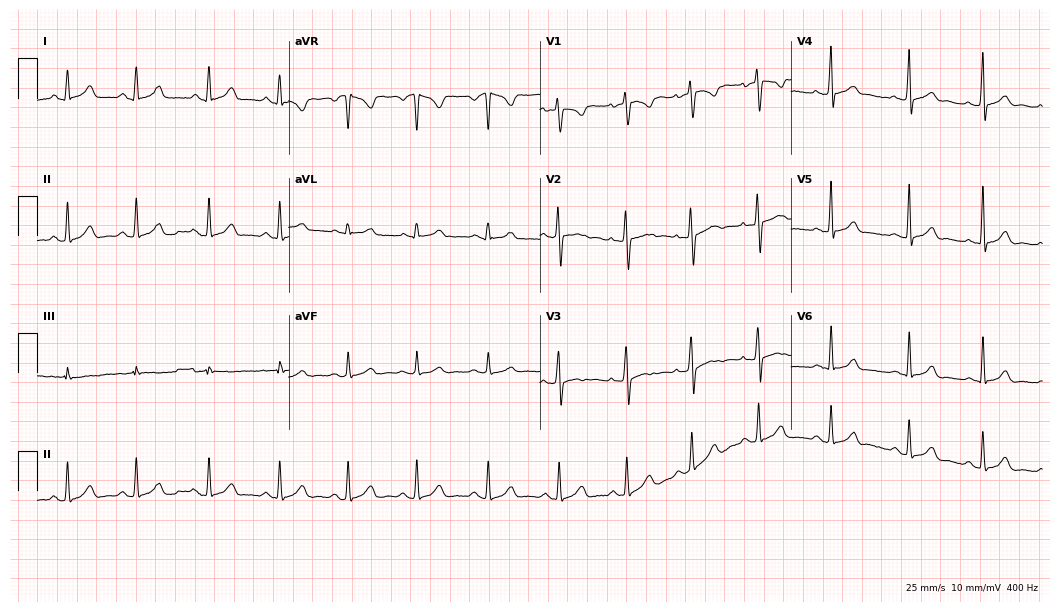
12-lead ECG (10.2-second recording at 400 Hz) from a woman, 27 years old. Screened for six findings — first-degree AV block, right bundle branch block, left bundle branch block, sinus bradycardia, atrial fibrillation, sinus tachycardia — none is recorded.